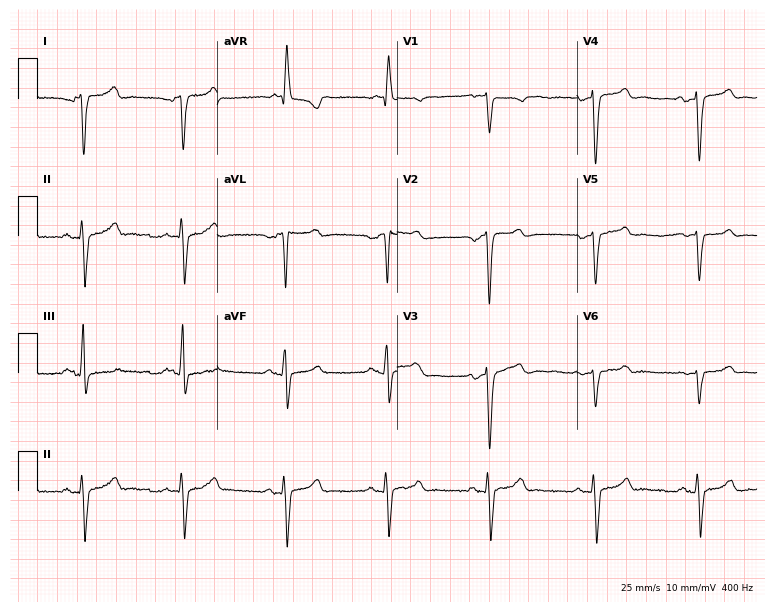
ECG — a 68-year-old man. Screened for six findings — first-degree AV block, right bundle branch block, left bundle branch block, sinus bradycardia, atrial fibrillation, sinus tachycardia — none is recorded. Only these six findings were labelled.